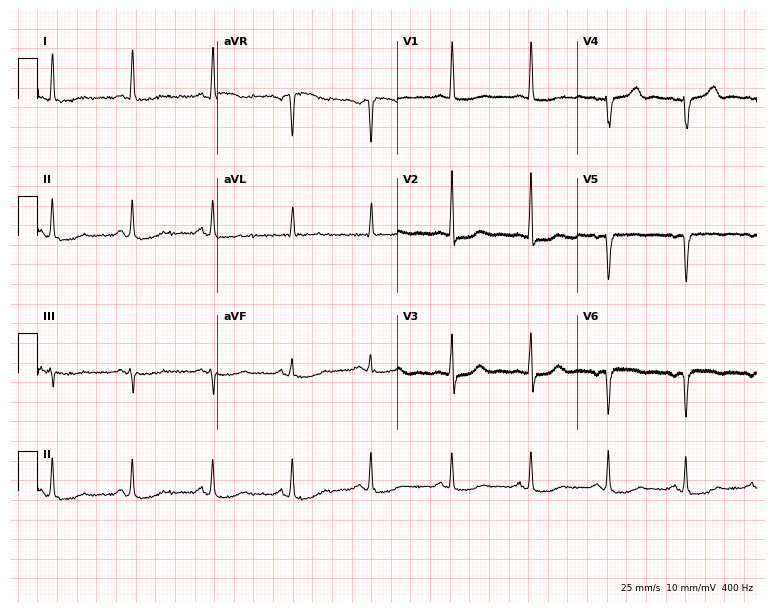
Standard 12-lead ECG recorded from a 52-year-old female. None of these six findings is recorded: first-degree AV block, right bundle branch block, left bundle branch block, sinus bradycardia, atrial fibrillation, sinus tachycardia.